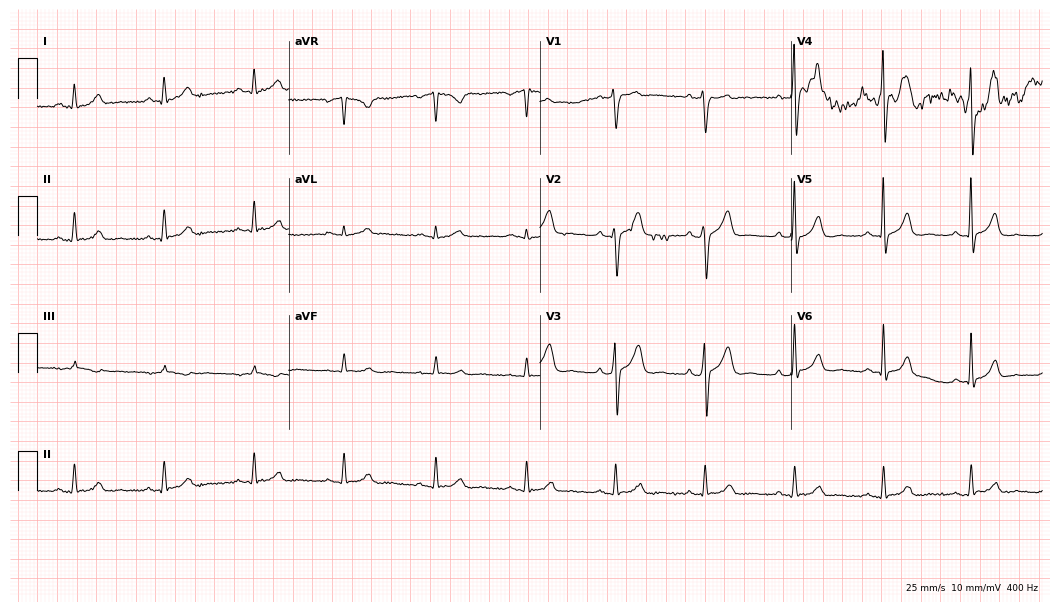
ECG (10.2-second recording at 400 Hz) — a man, 51 years old. Labelled as a normal ECG.